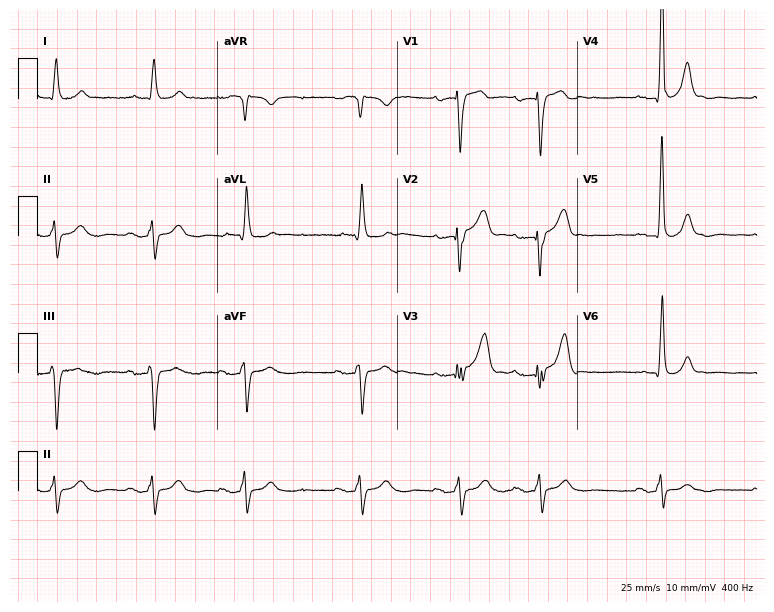
Electrocardiogram, a male patient, 84 years old. Of the six screened findings (first-degree AV block, right bundle branch block, left bundle branch block, sinus bradycardia, atrial fibrillation, sinus tachycardia), none is recorded. Findings outside these six are not listed.